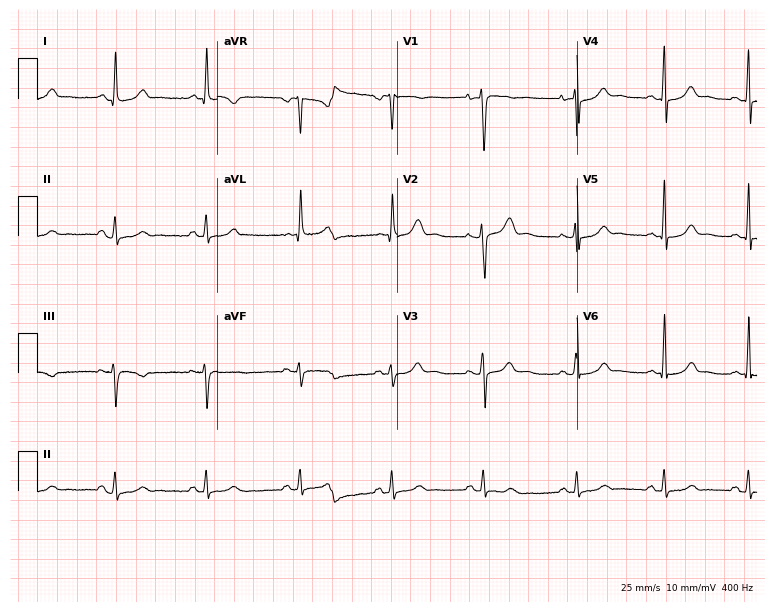
12-lead ECG from a 39-year-old female patient. Recorded interpretation: within normal limits.